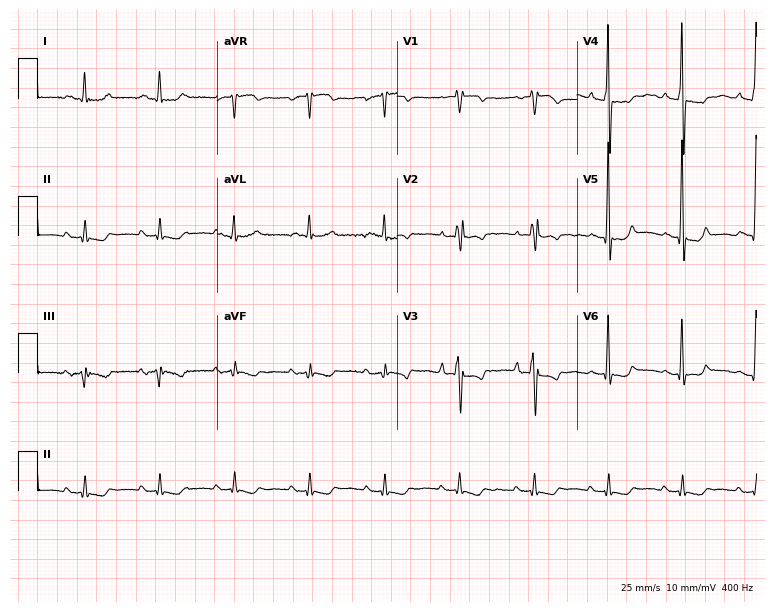
12-lead ECG from a male, 85 years old. Screened for six findings — first-degree AV block, right bundle branch block, left bundle branch block, sinus bradycardia, atrial fibrillation, sinus tachycardia — none is recorded.